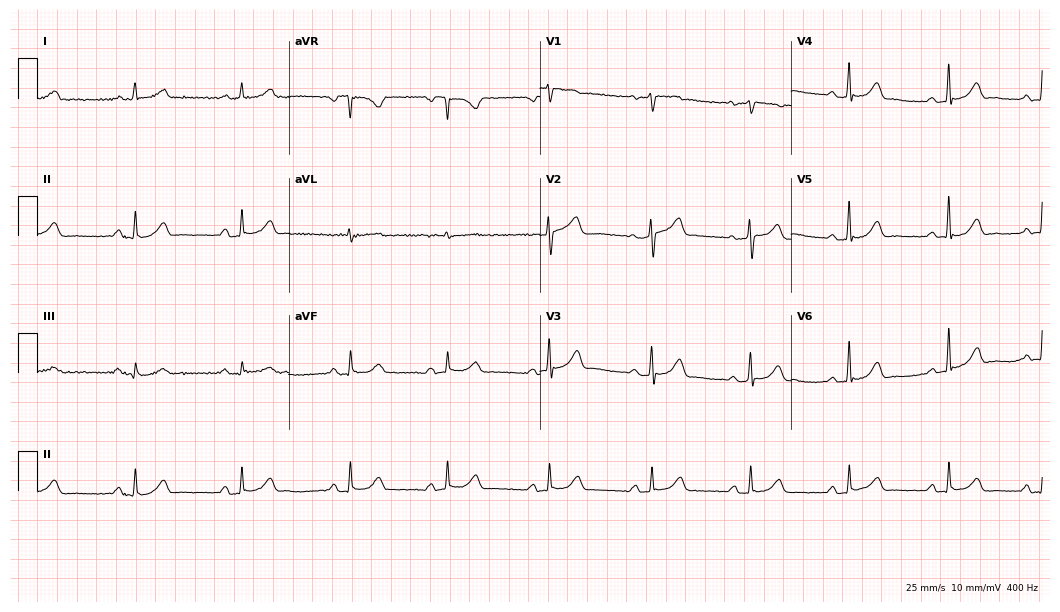
ECG (10.2-second recording at 400 Hz) — a female, 57 years old. Labelled as a normal ECG.